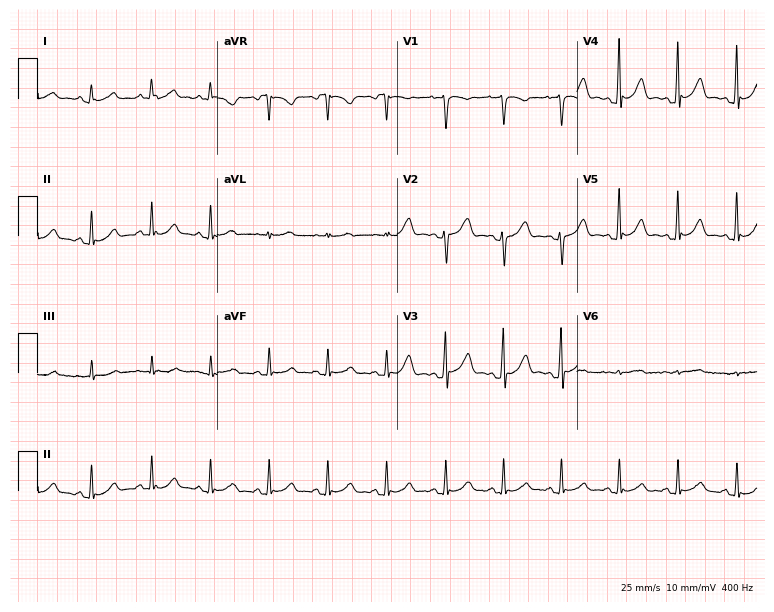
ECG (7.3-second recording at 400 Hz) — a 45-year-old female patient. Screened for six findings — first-degree AV block, right bundle branch block, left bundle branch block, sinus bradycardia, atrial fibrillation, sinus tachycardia — none is recorded. Other findings, if any, are not listed.